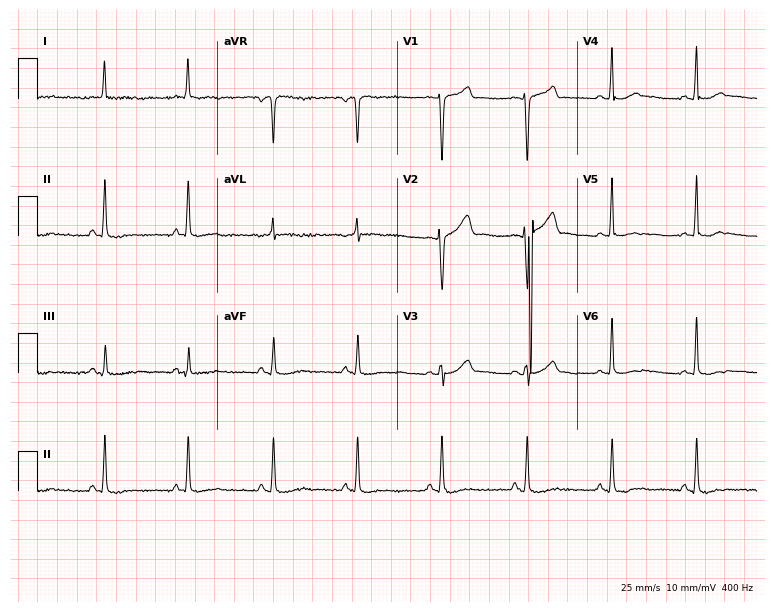
ECG (7.3-second recording at 400 Hz) — a 50-year-old female. Screened for six findings — first-degree AV block, right bundle branch block, left bundle branch block, sinus bradycardia, atrial fibrillation, sinus tachycardia — none is recorded. Other findings, if any, are not listed.